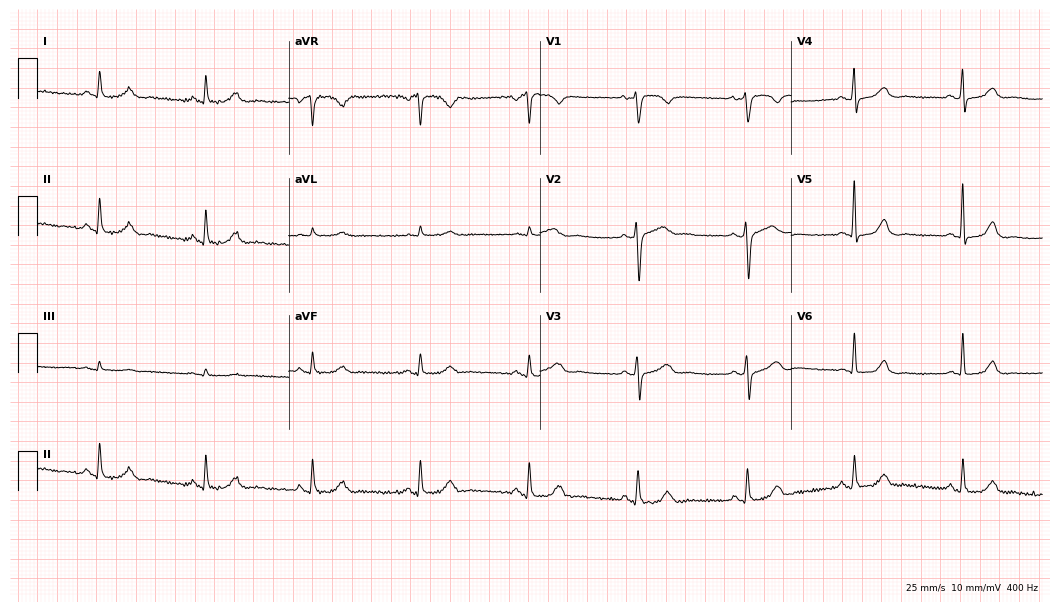
12-lead ECG from a 77-year-old woman. Recorded interpretation: within normal limits.